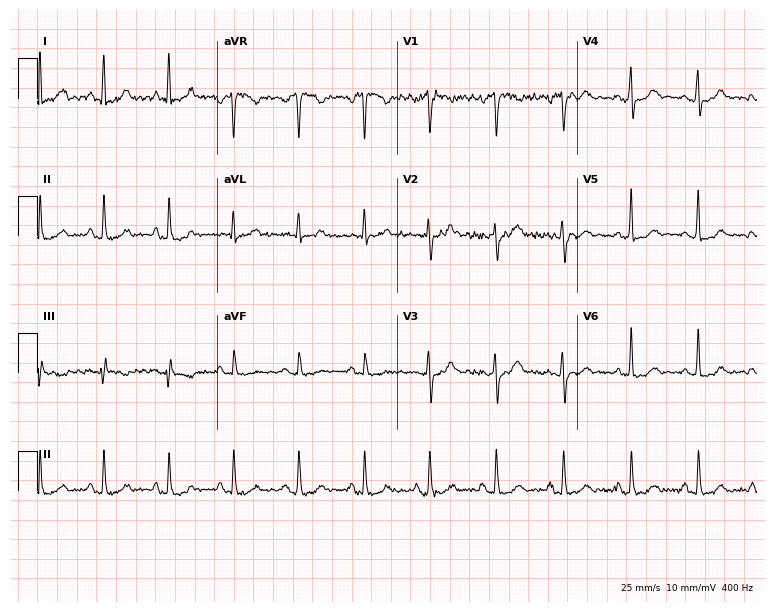
Standard 12-lead ECG recorded from a female patient, 48 years old. None of these six findings is recorded: first-degree AV block, right bundle branch block, left bundle branch block, sinus bradycardia, atrial fibrillation, sinus tachycardia.